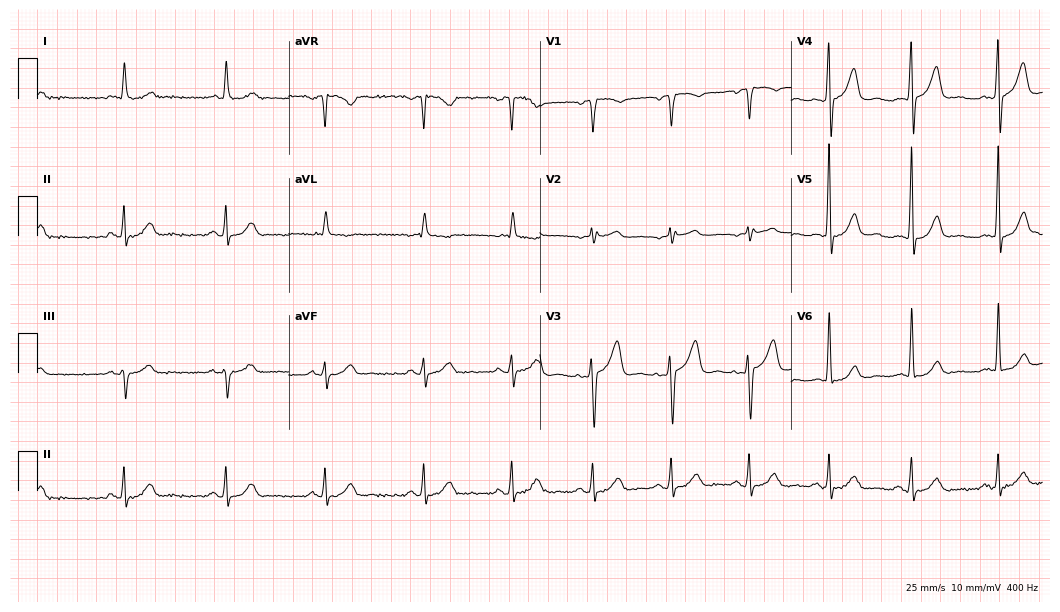
Standard 12-lead ECG recorded from a 68-year-old male (10.2-second recording at 400 Hz). Read as a normal ECG.